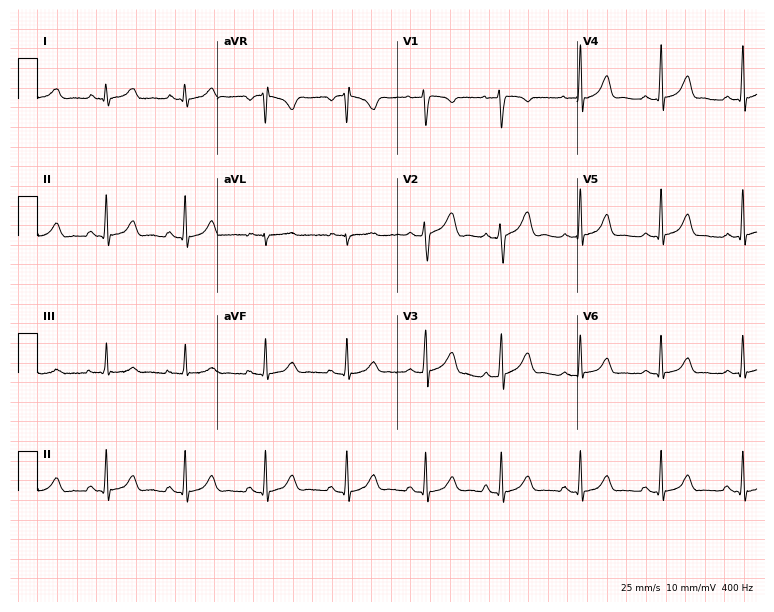
12-lead ECG from a 29-year-old woman. No first-degree AV block, right bundle branch block (RBBB), left bundle branch block (LBBB), sinus bradycardia, atrial fibrillation (AF) or sinus tachycardia recorded for this tracing. Other findings, if any, are not listed.